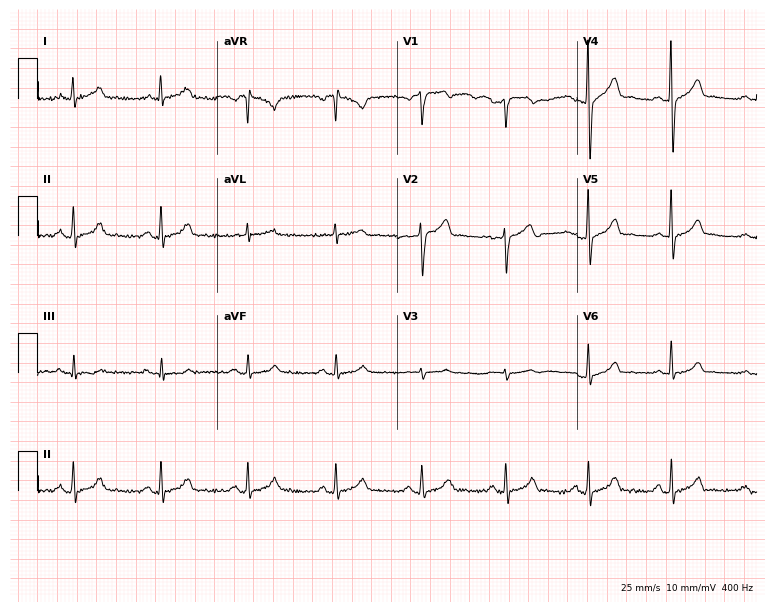
12-lead ECG from a male, 42 years old. Recorded interpretation: within normal limits.